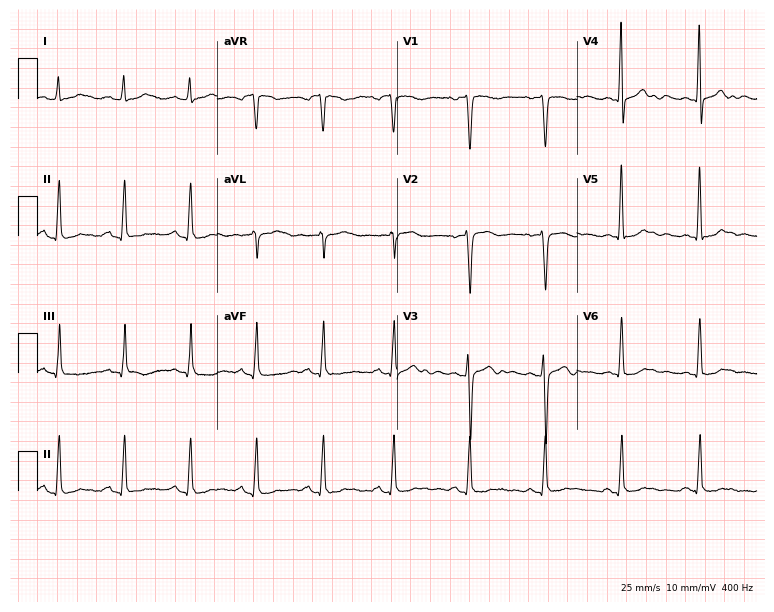
12-lead ECG from a female, 41 years old. No first-degree AV block, right bundle branch block (RBBB), left bundle branch block (LBBB), sinus bradycardia, atrial fibrillation (AF) or sinus tachycardia recorded for this tracing.